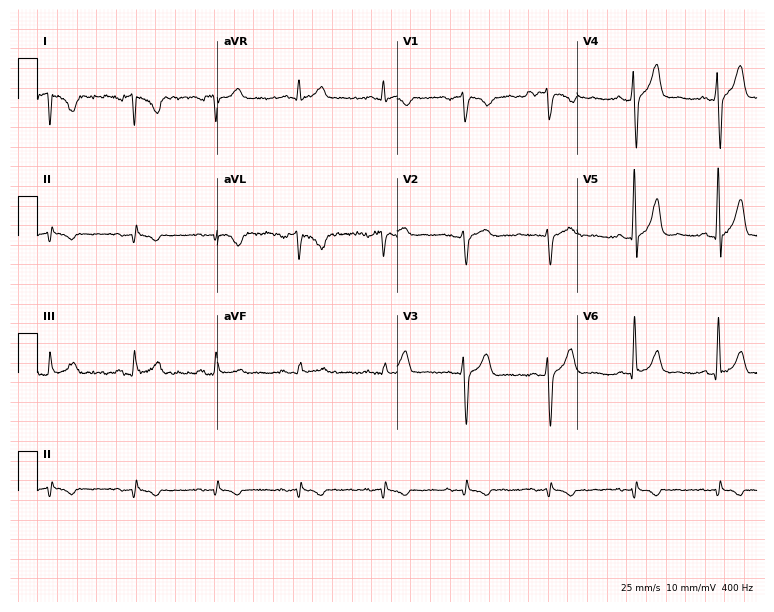
12-lead ECG from a 40-year-old man. No first-degree AV block, right bundle branch block, left bundle branch block, sinus bradycardia, atrial fibrillation or sinus tachycardia recorded for this tracing. Findings outside these six are not listed.